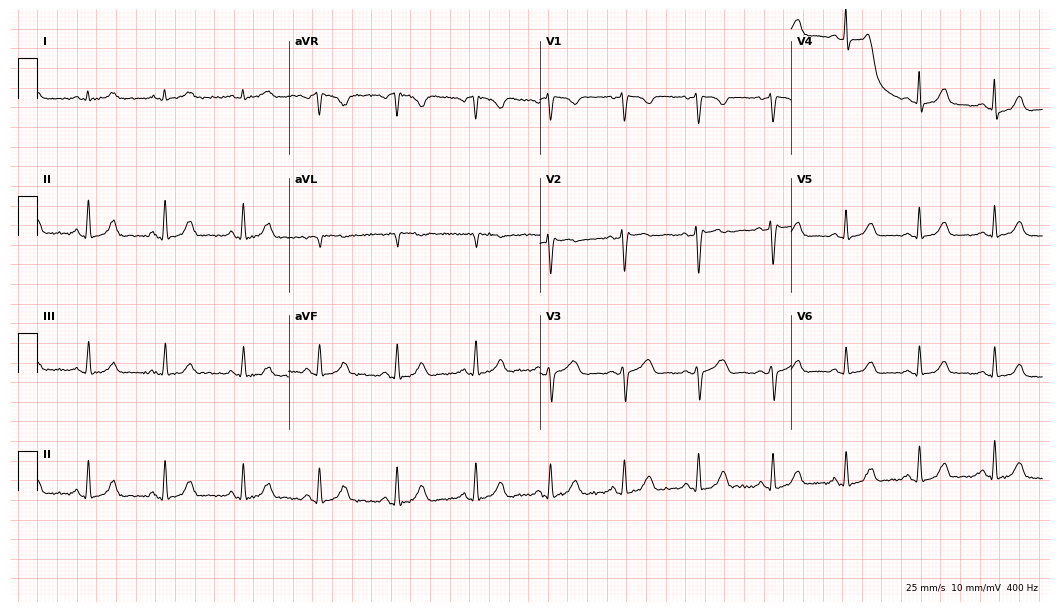
12-lead ECG from a woman, 40 years old (10.2-second recording at 400 Hz). Recorded interpretation: within normal limits.